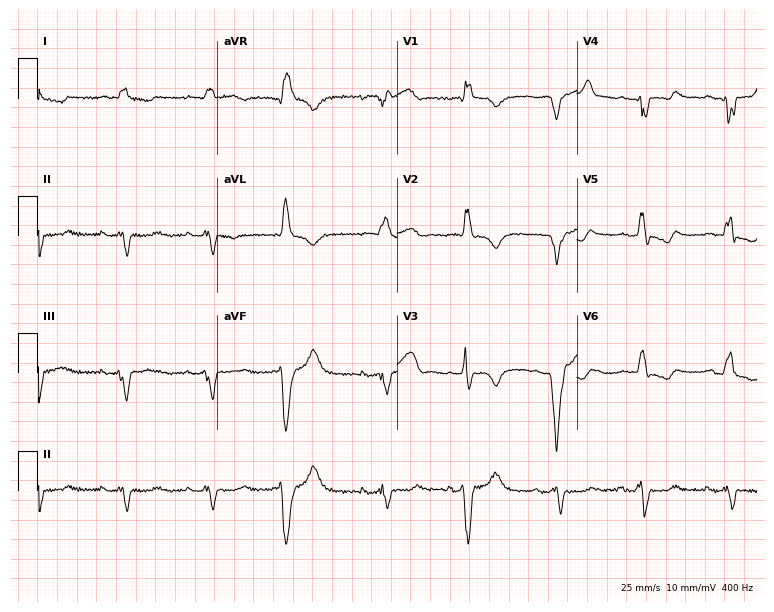
12-lead ECG from a man, 79 years old (7.3-second recording at 400 Hz). No first-degree AV block, right bundle branch block, left bundle branch block, sinus bradycardia, atrial fibrillation or sinus tachycardia recorded for this tracing.